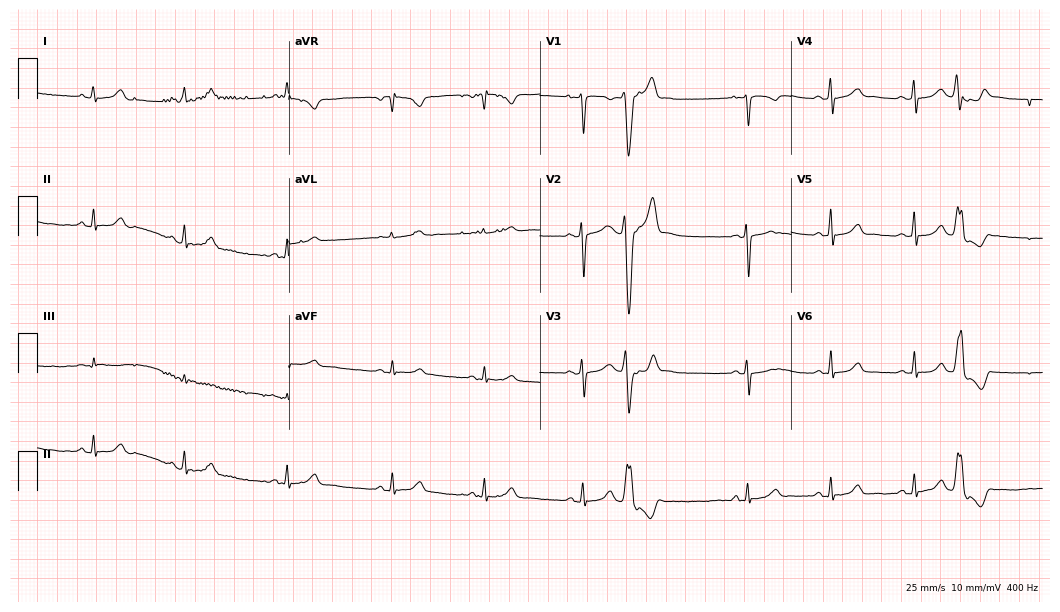
Resting 12-lead electrocardiogram (10.2-second recording at 400 Hz). Patient: a 26-year-old female. None of these six findings is recorded: first-degree AV block, right bundle branch block, left bundle branch block, sinus bradycardia, atrial fibrillation, sinus tachycardia. Findings outside these six are not listed.